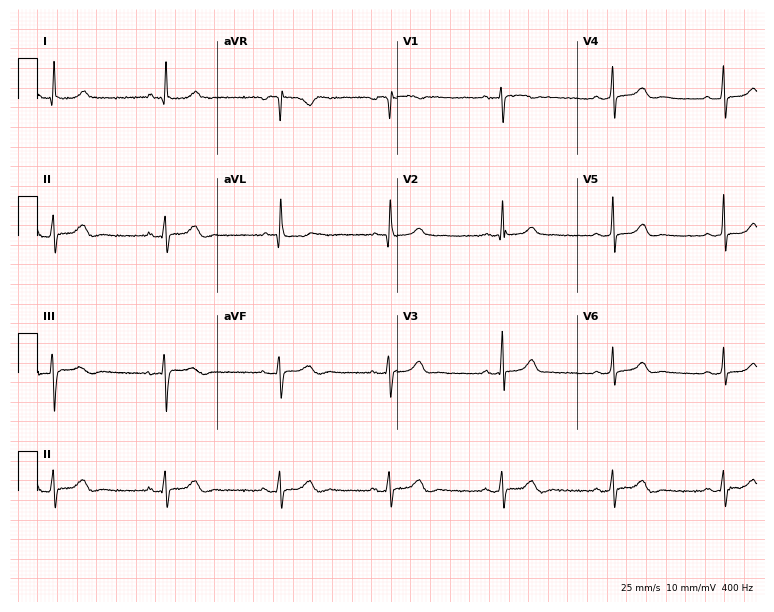
Resting 12-lead electrocardiogram. Patient: a 56-year-old female. Read as a normal ECG.